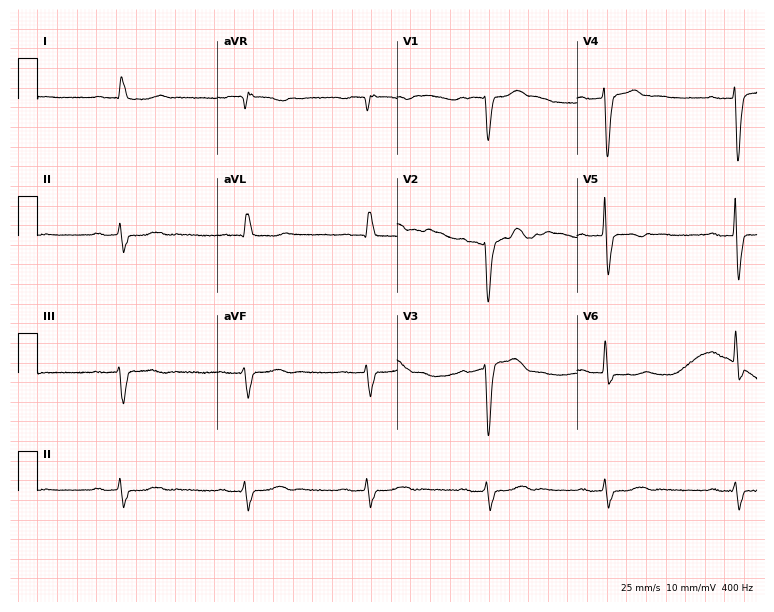
Electrocardiogram, a 79-year-old man. Of the six screened findings (first-degree AV block, right bundle branch block, left bundle branch block, sinus bradycardia, atrial fibrillation, sinus tachycardia), none is recorded.